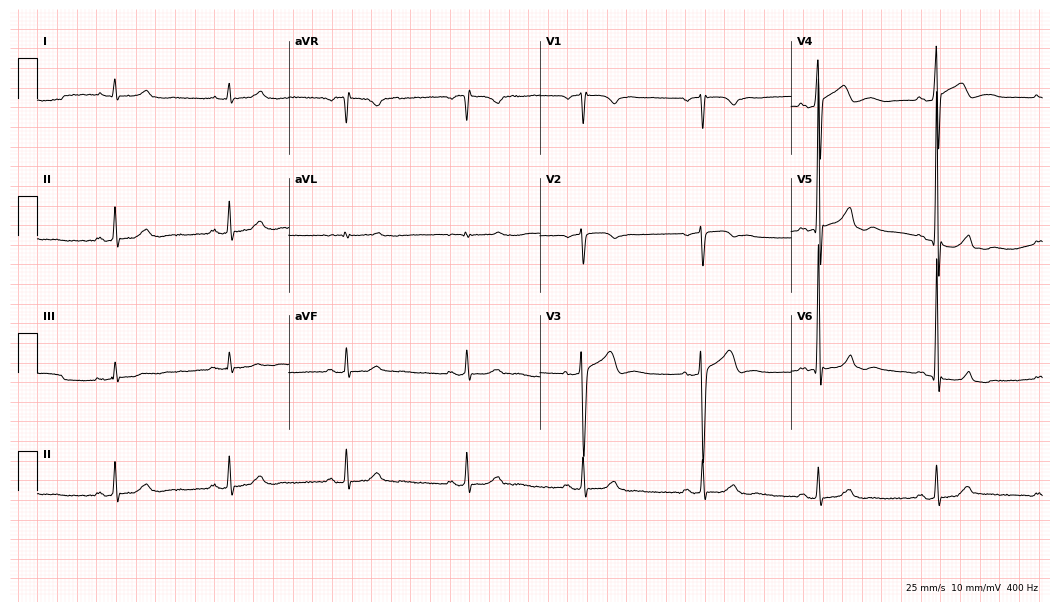
Electrocardiogram, a 65-year-old male. Overall reading on record: normal ECG.